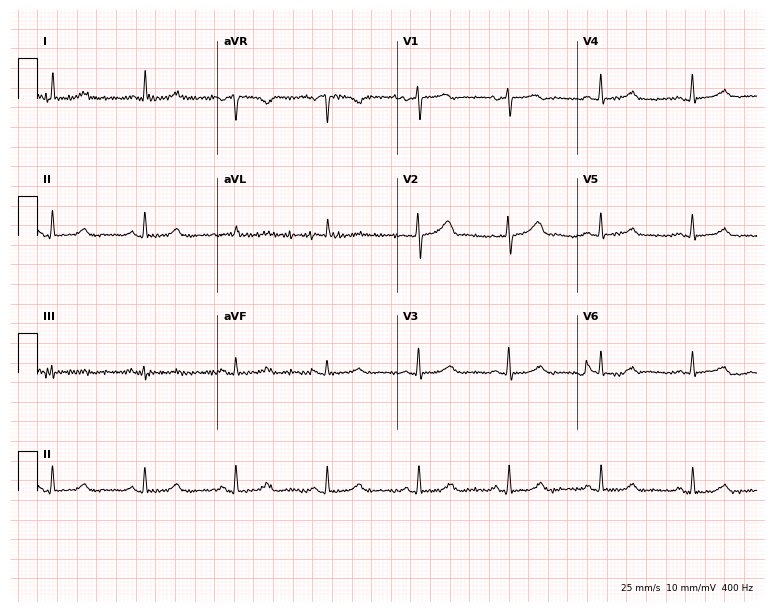
12-lead ECG from a woman, 69 years old (7.3-second recording at 400 Hz). Recorded interpretation: within normal limits.